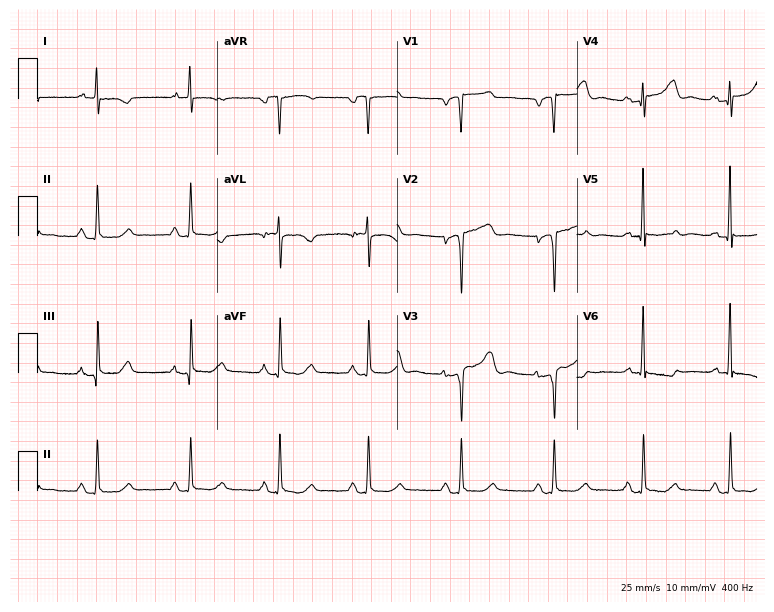
Standard 12-lead ECG recorded from a woman, 70 years old (7.3-second recording at 400 Hz). None of these six findings is recorded: first-degree AV block, right bundle branch block, left bundle branch block, sinus bradycardia, atrial fibrillation, sinus tachycardia.